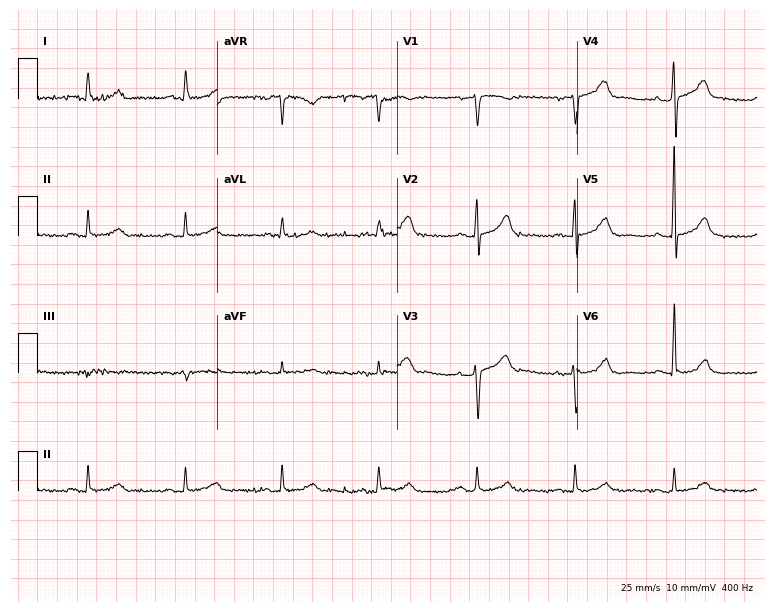
12-lead ECG from a female patient, 70 years old. Recorded interpretation: within normal limits.